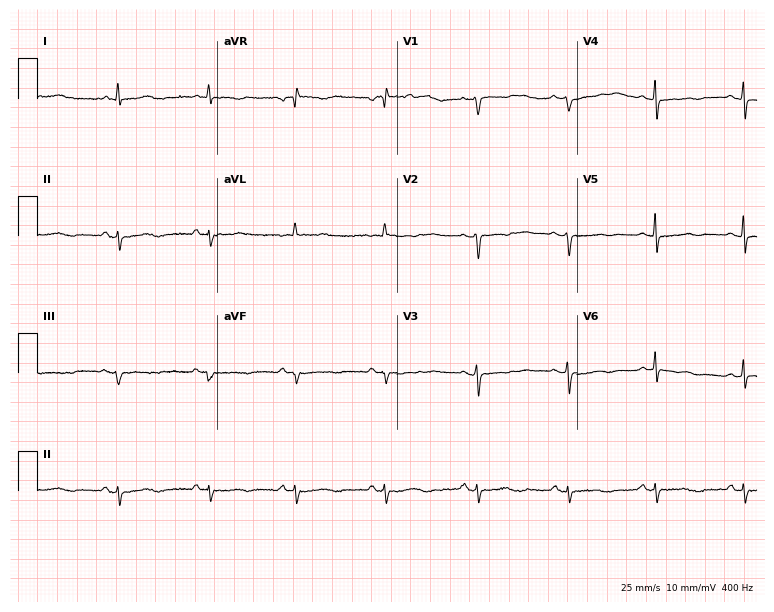
Resting 12-lead electrocardiogram (7.3-second recording at 400 Hz). Patient: a 58-year-old female. None of these six findings is recorded: first-degree AV block, right bundle branch block (RBBB), left bundle branch block (LBBB), sinus bradycardia, atrial fibrillation (AF), sinus tachycardia. Only these six findings were labelled.